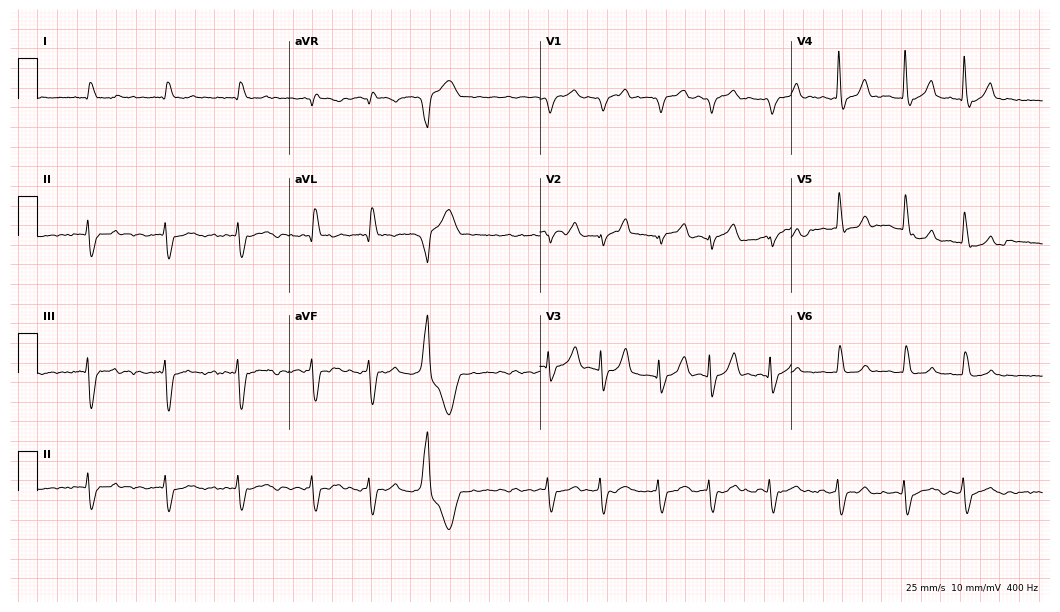
ECG (10.2-second recording at 400 Hz) — a 73-year-old male. Findings include atrial fibrillation (AF).